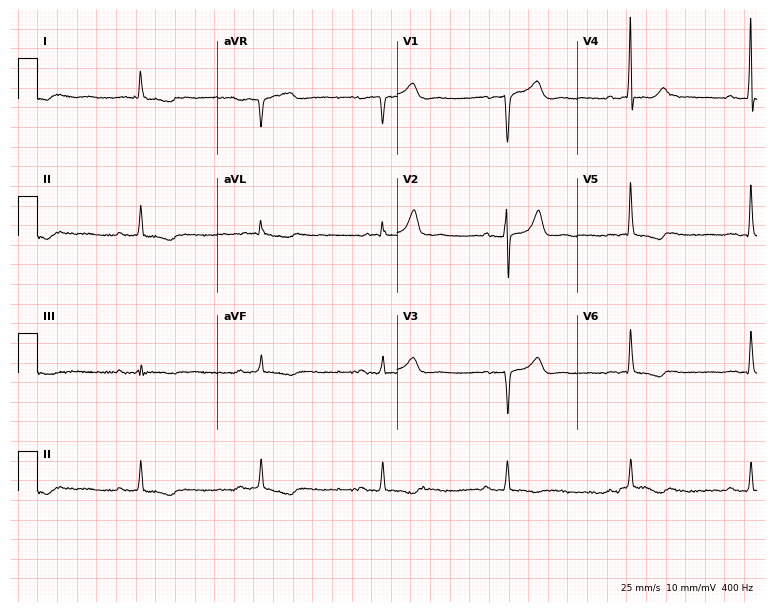
ECG — an 80-year-old male patient. Findings include first-degree AV block, sinus bradycardia (a sinus rate of 50 beats per minute or less).